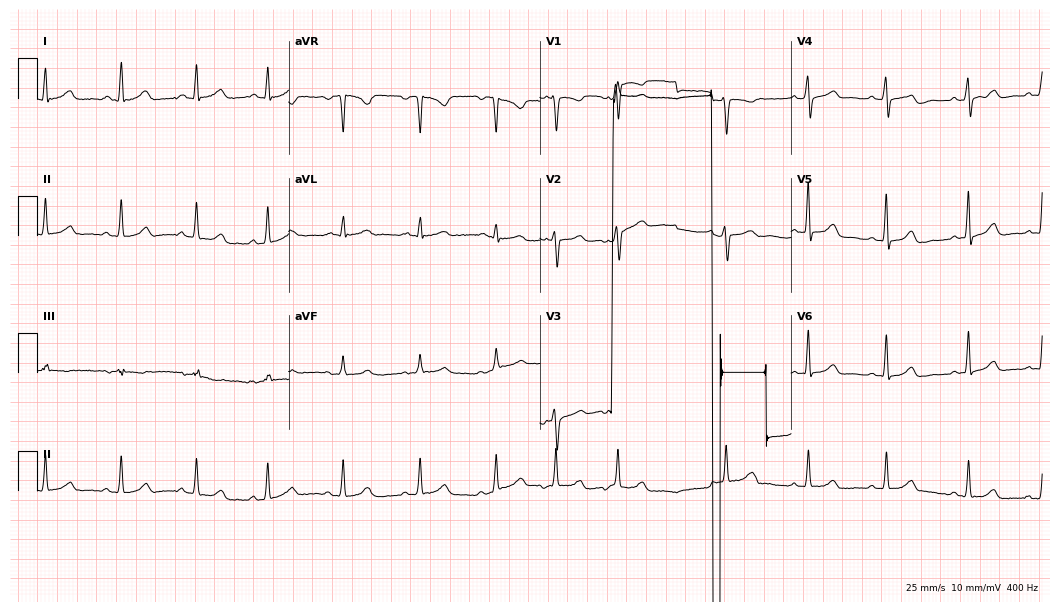
ECG (10.2-second recording at 400 Hz) — a 46-year-old female patient. Labelled as a normal ECG.